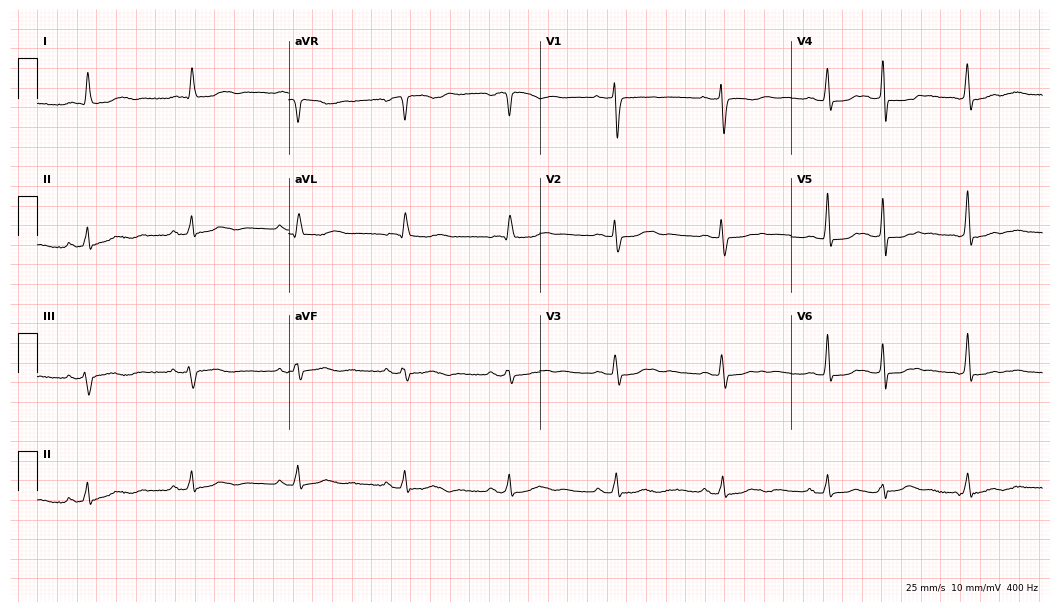
12-lead ECG from a woman, 77 years old. No first-degree AV block, right bundle branch block, left bundle branch block, sinus bradycardia, atrial fibrillation or sinus tachycardia recorded for this tracing. Other findings, if any, are not listed.